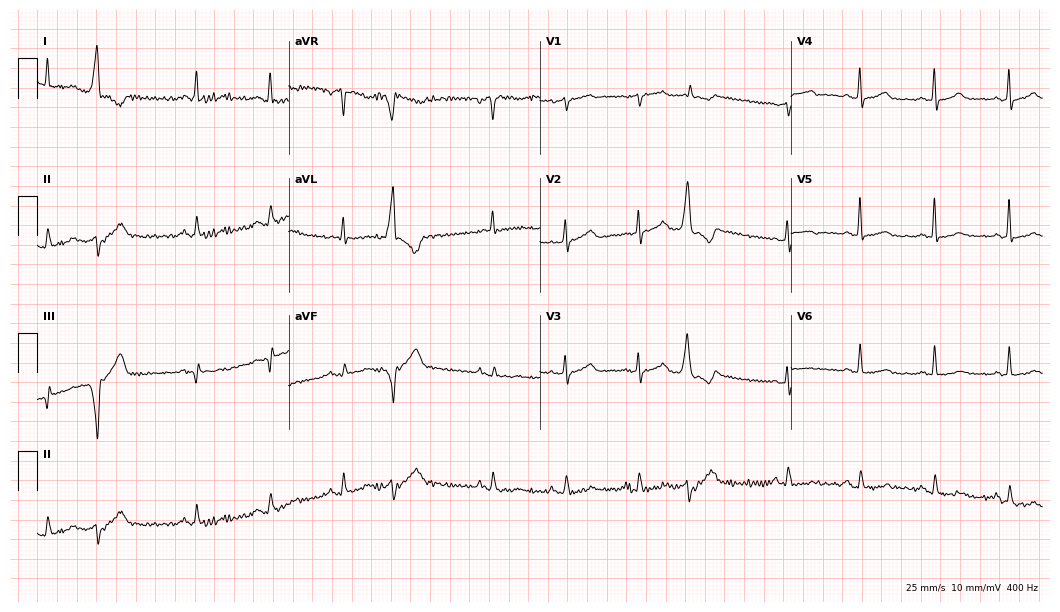
Standard 12-lead ECG recorded from a 73-year-old woman. None of these six findings is recorded: first-degree AV block, right bundle branch block (RBBB), left bundle branch block (LBBB), sinus bradycardia, atrial fibrillation (AF), sinus tachycardia.